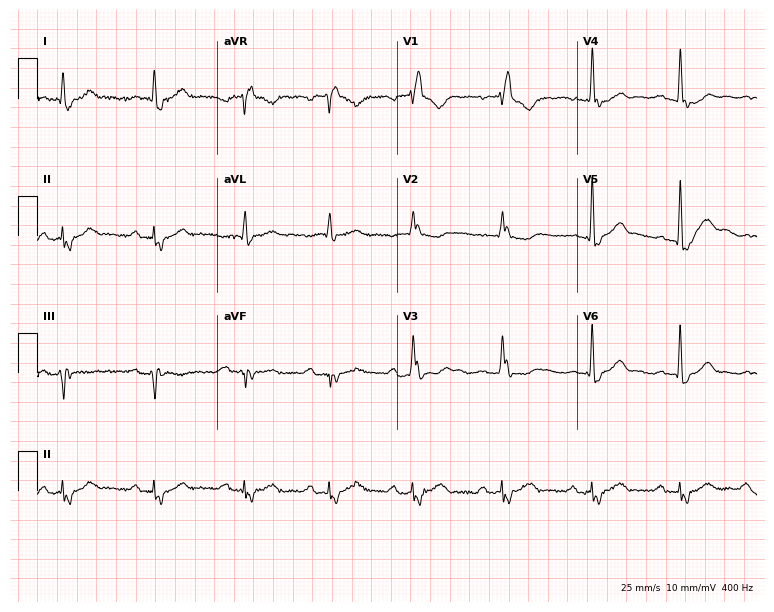
12-lead ECG from a man, 80 years old. Findings include right bundle branch block.